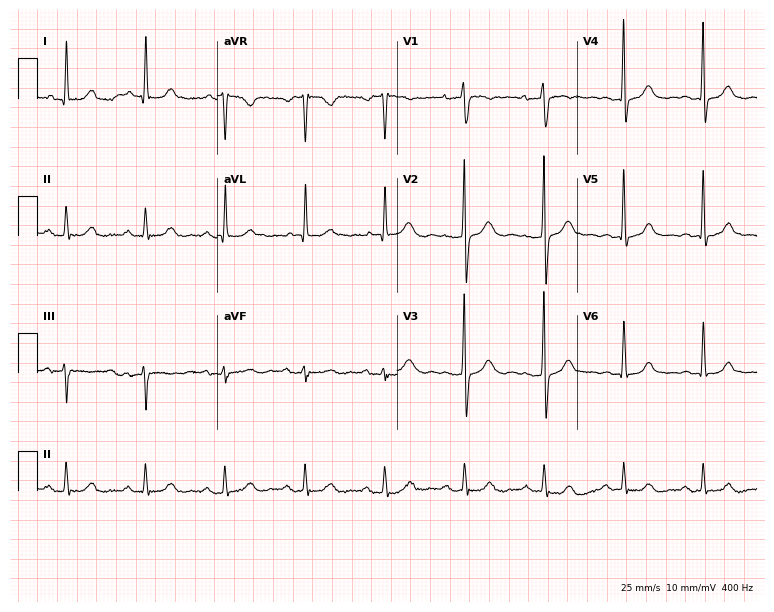
Standard 12-lead ECG recorded from a 70-year-old female patient. Read as a normal ECG.